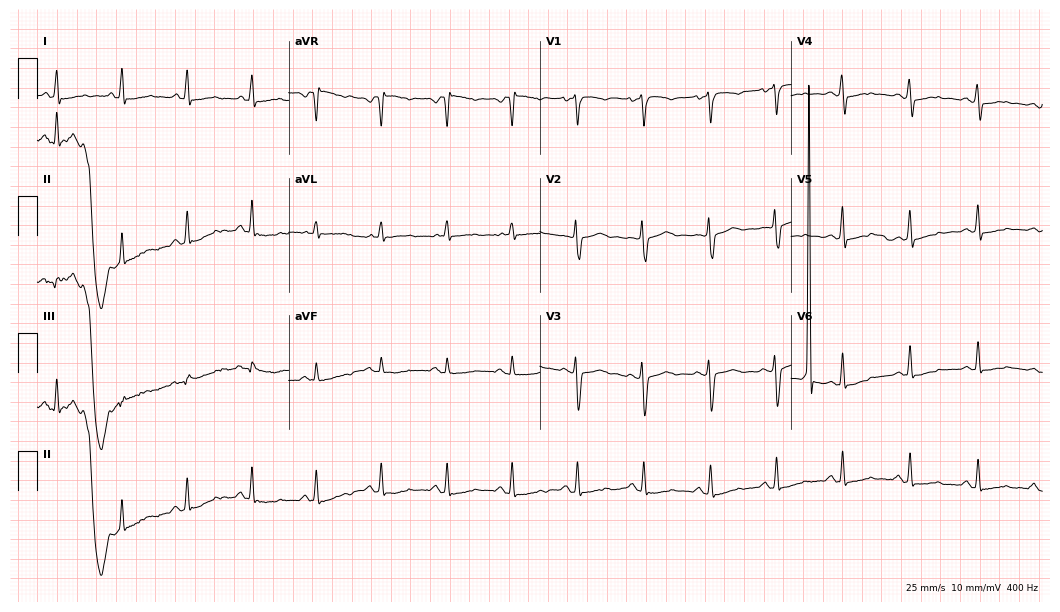
Electrocardiogram, a 62-year-old female. Of the six screened findings (first-degree AV block, right bundle branch block (RBBB), left bundle branch block (LBBB), sinus bradycardia, atrial fibrillation (AF), sinus tachycardia), none is recorded.